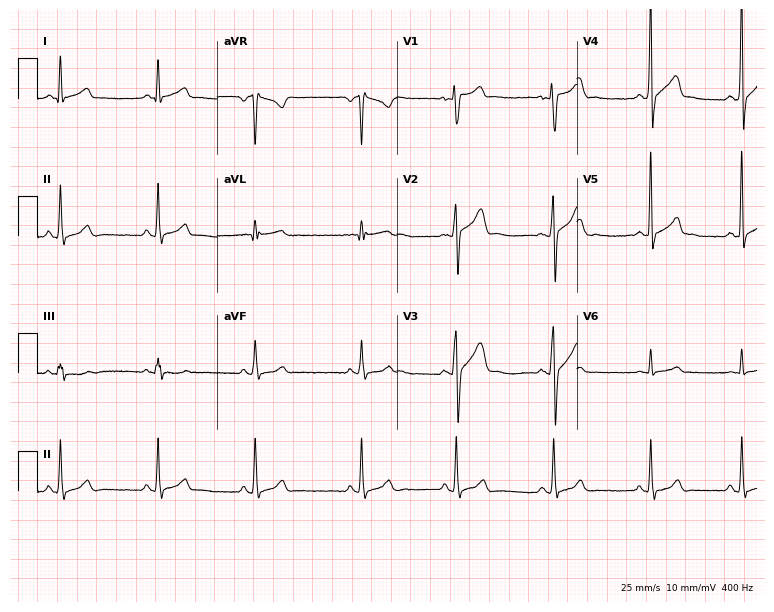
ECG (7.3-second recording at 400 Hz) — a male, 32 years old. Labelled as a normal ECG.